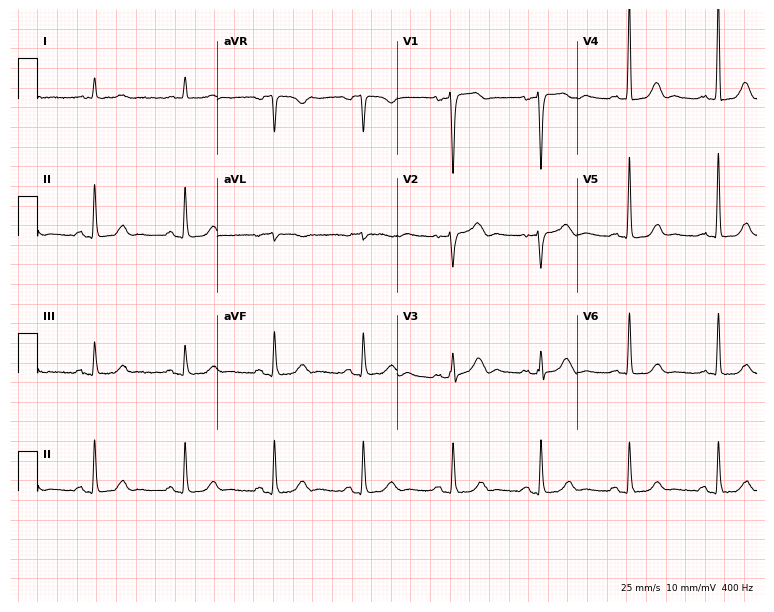
12-lead ECG (7.3-second recording at 400 Hz) from a female patient, 80 years old. Screened for six findings — first-degree AV block, right bundle branch block, left bundle branch block, sinus bradycardia, atrial fibrillation, sinus tachycardia — none is recorded. Only these six findings were labelled.